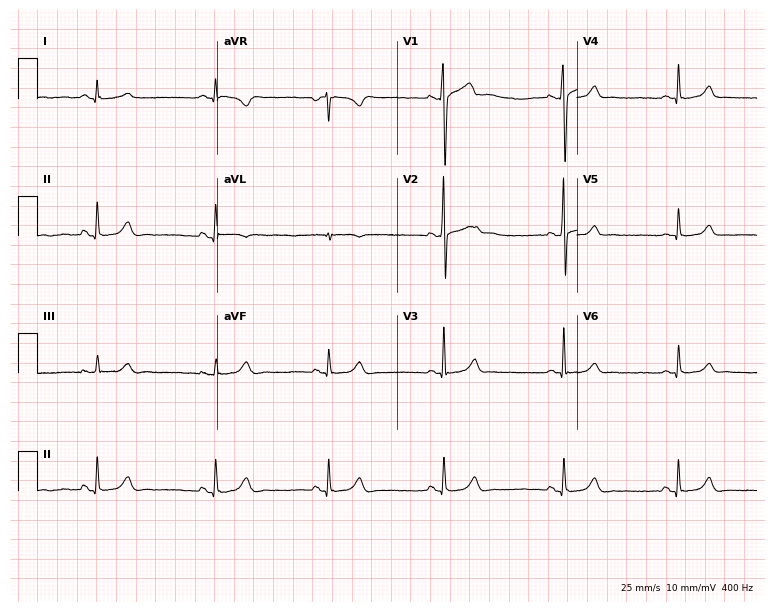
Electrocardiogram (7.3-second recording at 400 Hz), a 36-year-old man. Overall reading on record: normal ECG.